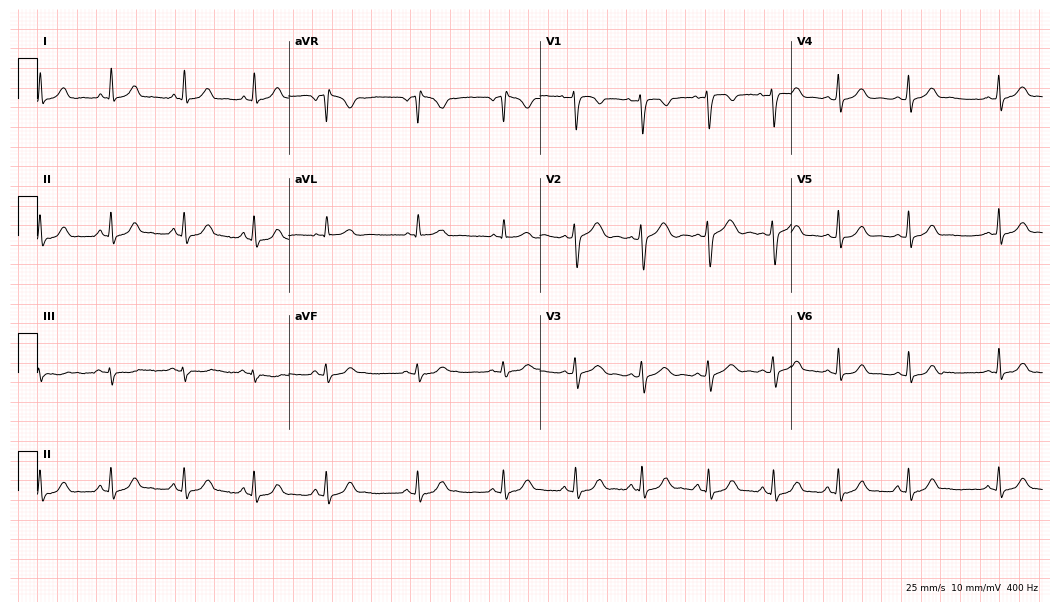
Standard 12-lead ECG recorded from a 29-year-old female (10.2-second recording at 400 Hz). None of these six findings is recorded: first-degree AV block, right bundle branch block, left bundle branch block, sinus bradycardia, atrial fibrillation, sinus tachycardia.